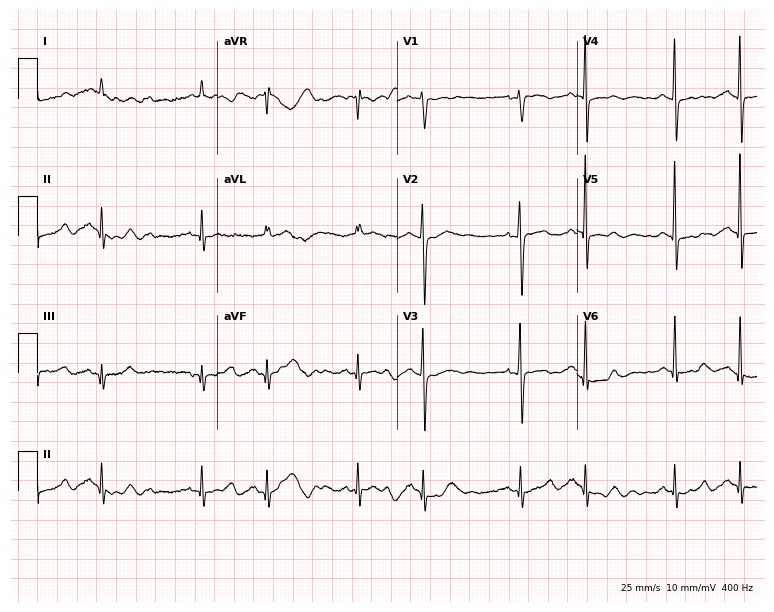
Electrocardiogram, a woman, 79 years old. Of the six screened findings (first-degree AV block, right bundle branch block (RBBB), left bundle branch block (LBBB), sinus bradycardia, atrial fibrillation (AF), sinus tachycardia), none is recorded.